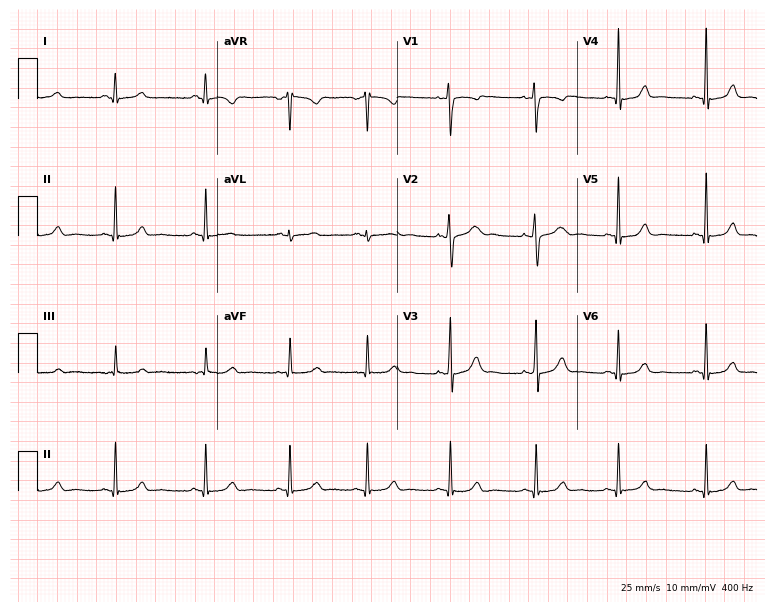
12-lead ECG from a 24-year-old woman (7.3-second recording at 400 Hz). Recorded interpretation: within normal limits.